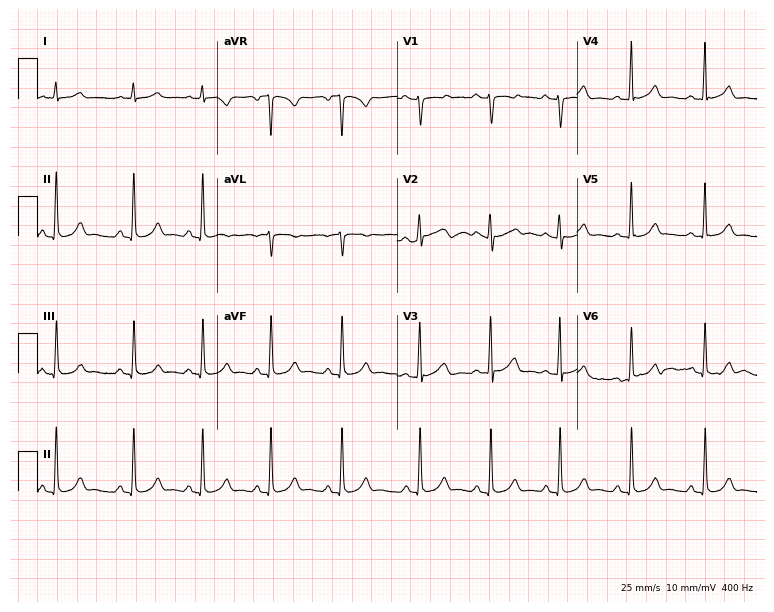
12-lead ECG from a woman, 23 years old. No first-degree AV block, right bundle branch block (RBBB), left bundle branch block (LBBB), sinus bradycardia, atrial fibrillation (AF) or sinus tachycardia recorded for this tracing.